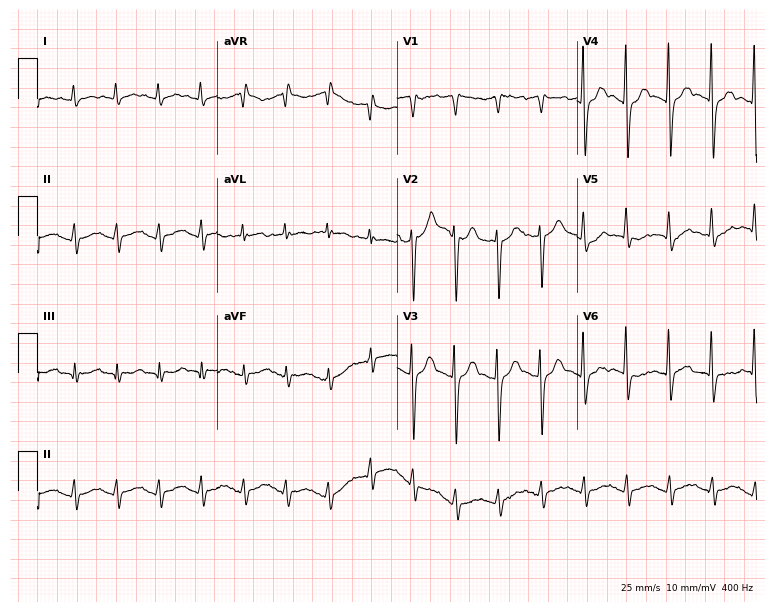
Resting 12-lead electrocardiogram (7.3-second recording at 400 Hz). Patient: a man, 53 years old. The tracing shows sinus tachycardia (a sinus rate of 100 beats per minute or more).